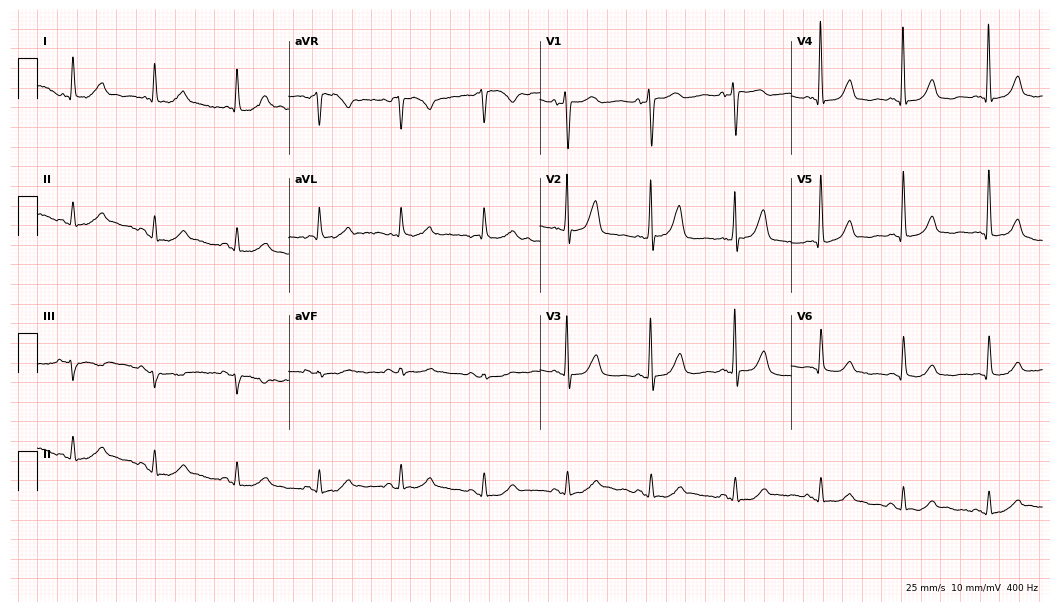
Electrocardiogram (10.2-second recording at 400 Hz), an 80-year-old female patient. Overall reading on record: normal ECG.